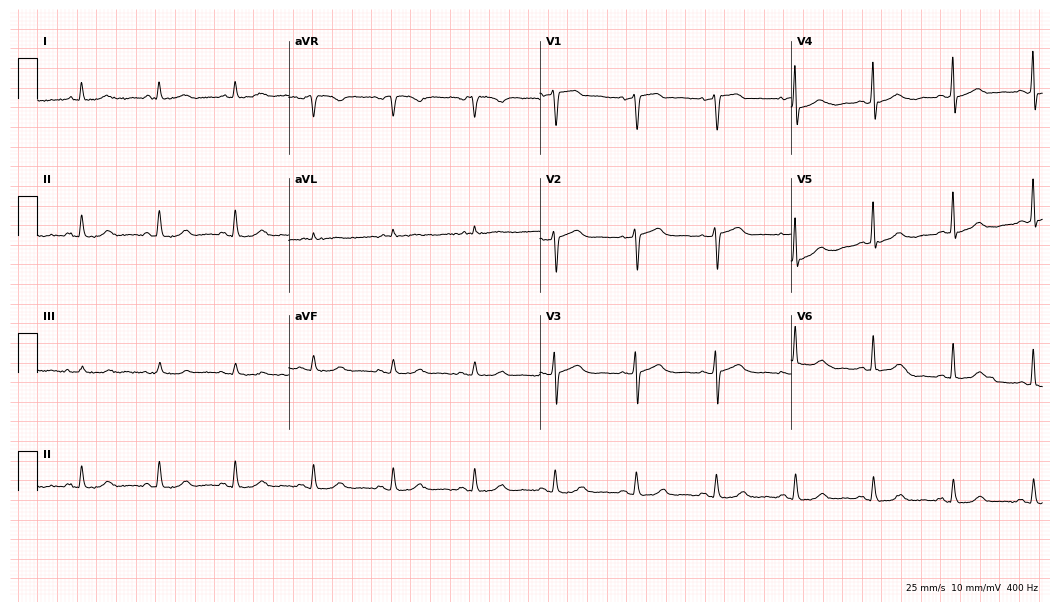
Standard 12-lead ECG recorded from a woman, 60 years old (10.2-second recording at 400 Hz). Read as a normal ECG.